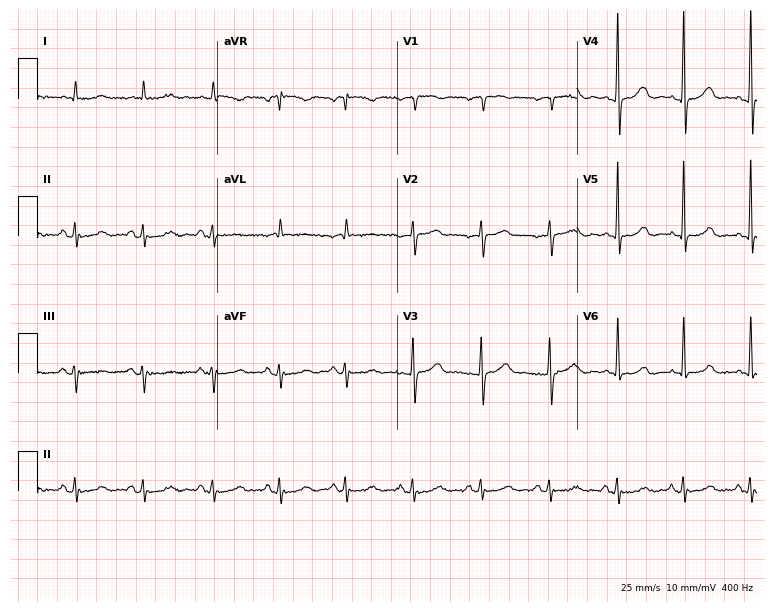
12-lead ECG (7.3-second recording at 400 Hz) from a 77-year-old woman. Labelled as a normal ECG.